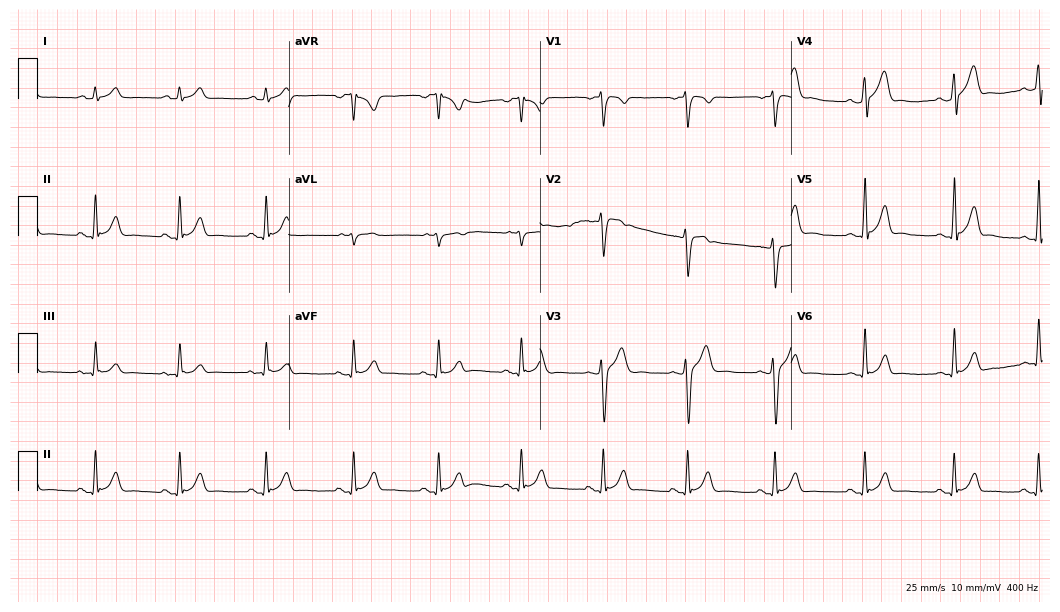
Electrocardiogram, a 36-year-old man. Overall reading on record: normal ECG.